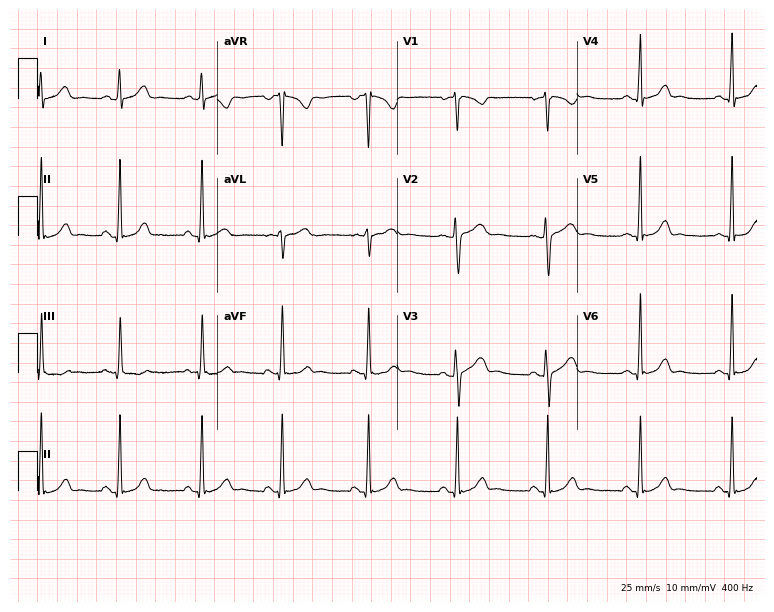
Resting 12-lead electrocardiogram. Patient: a woman, 24 years old. Read as a normal ECG.